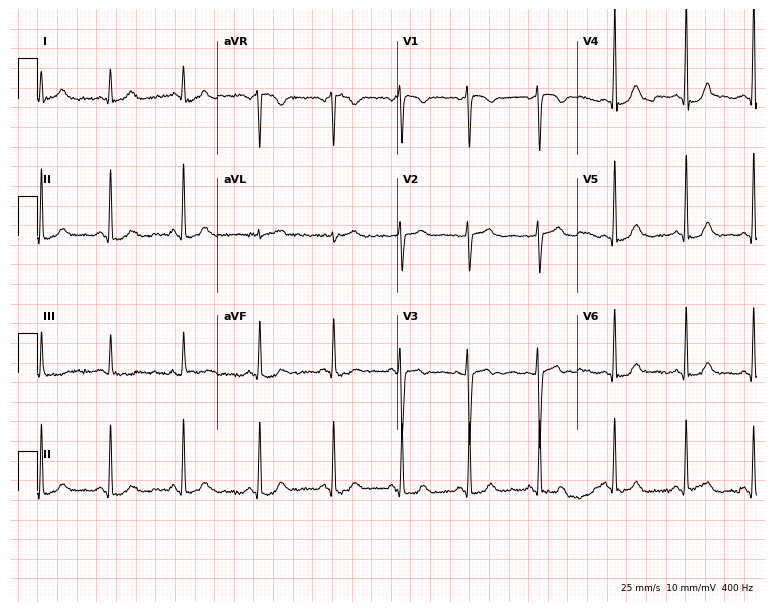
Resting 12-lead electrocardiogram (7.3-second recording at 400 Hz). Patient: a female, 22 years old. Read as a normal ECG.